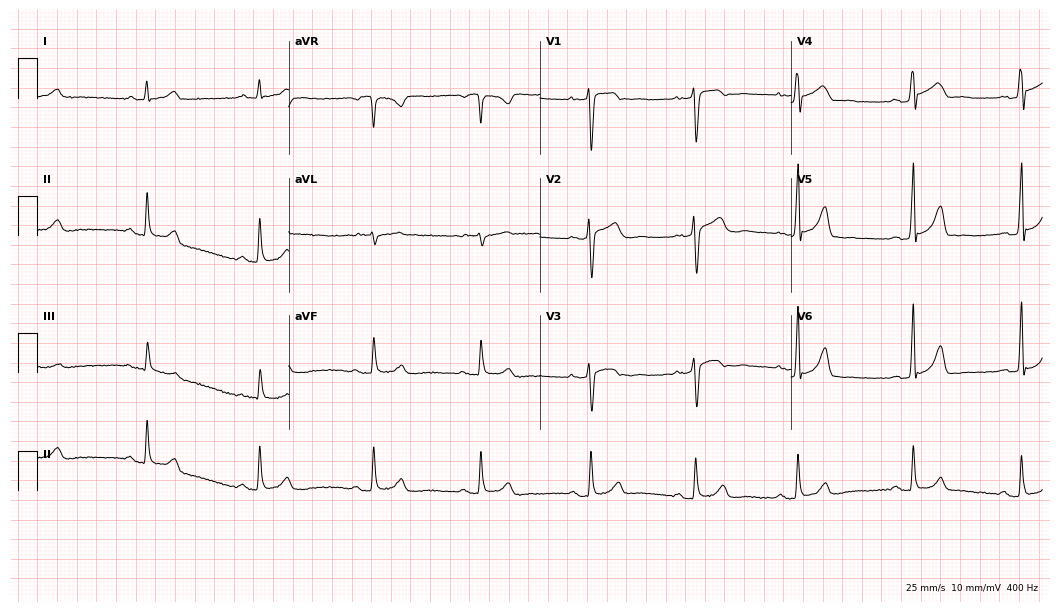
12-lead ECG from a male, 41 years old (10.2-second recording at 400 Hz). Recorded interpretation: within normal limits.